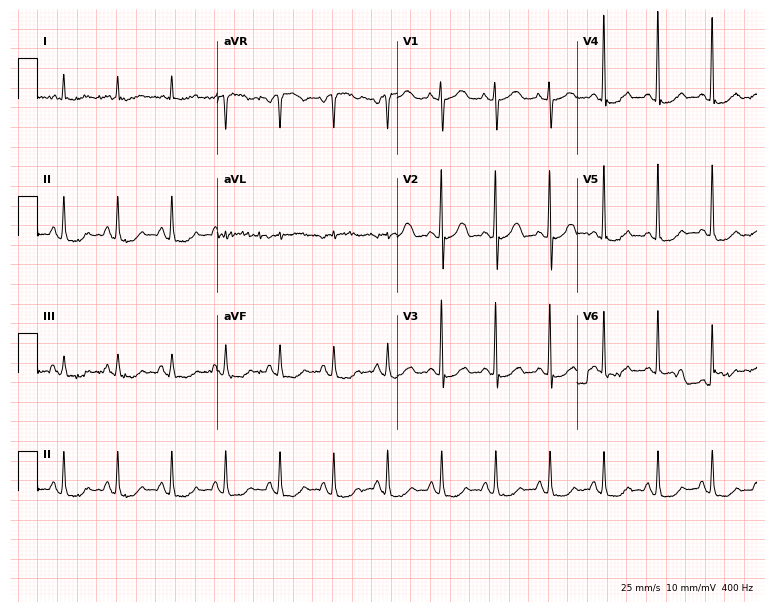
ECG (7.3-second recording at 400 Hz) — an 84-year-old female patient. Screened for six findings — first-degree AV block, right bundle branch block (RBBB), left bundle branch block (LBBB), sinus bradycardia, atrial fibrillation (AF), sinus tachycardia — none is recorded.